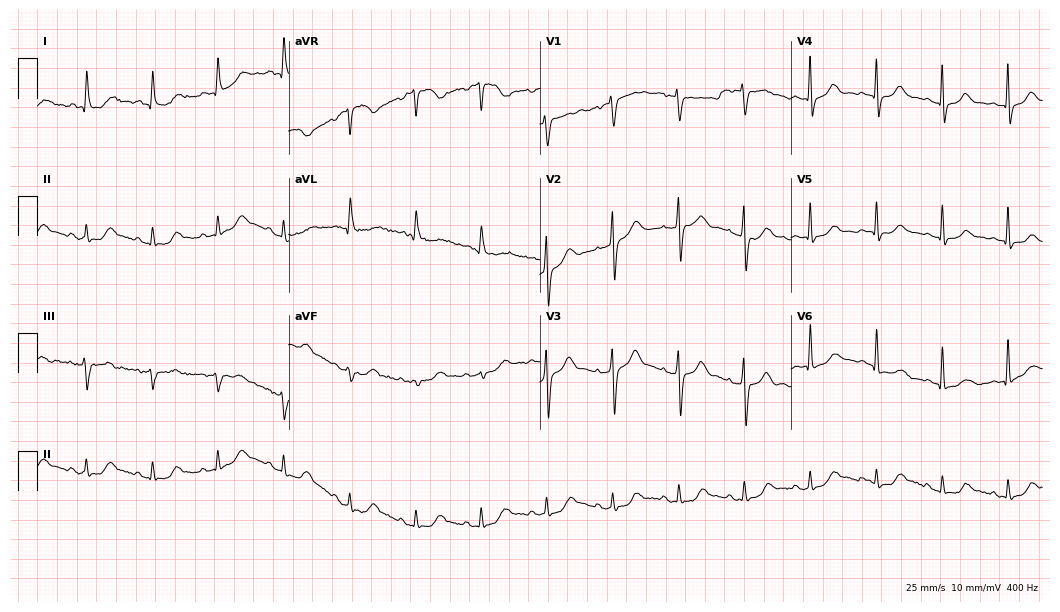
Resting 12-lead electrocardiogram (10.2-second recording at 400 Hz). Patient: a woman, 71 years old. None of these six findings is recorded: first-degree AV block, right bundle branch block, left bundle branch block, sinus bradycardia, atrial fibrillation, sinus tachycardia. Only these six findings were labelled.